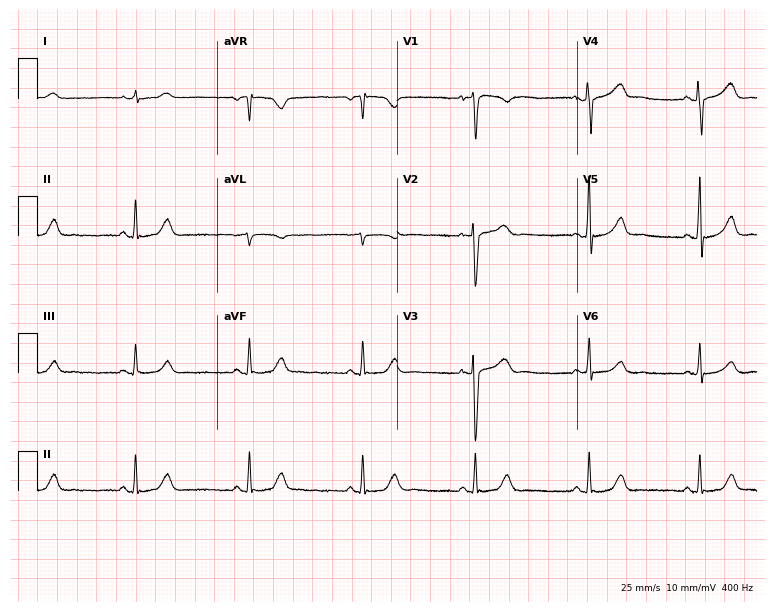
12-lead ECG from a male patient, 49 years old. Recorded interpretation: within normal limits.